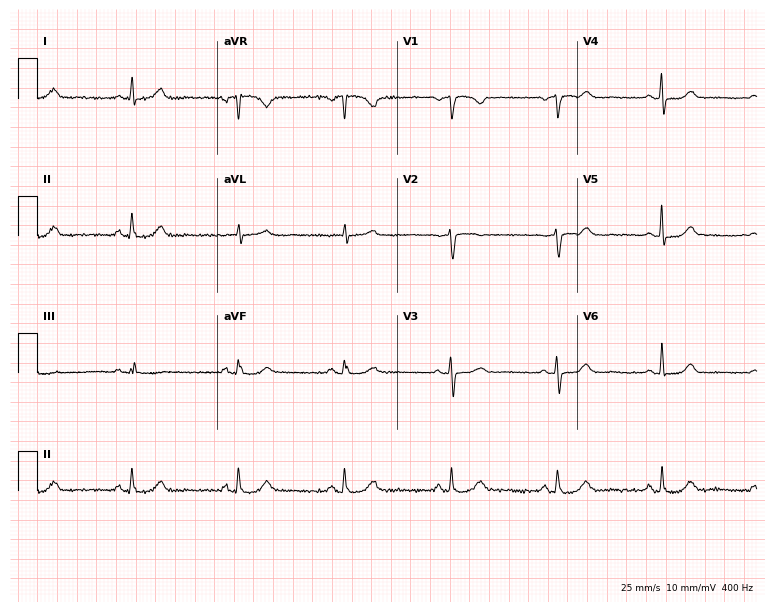
Electrocardiogram (7.3-second recording at 400 Hz), a female, 70 years old. Overall reading on record: normal ECG.